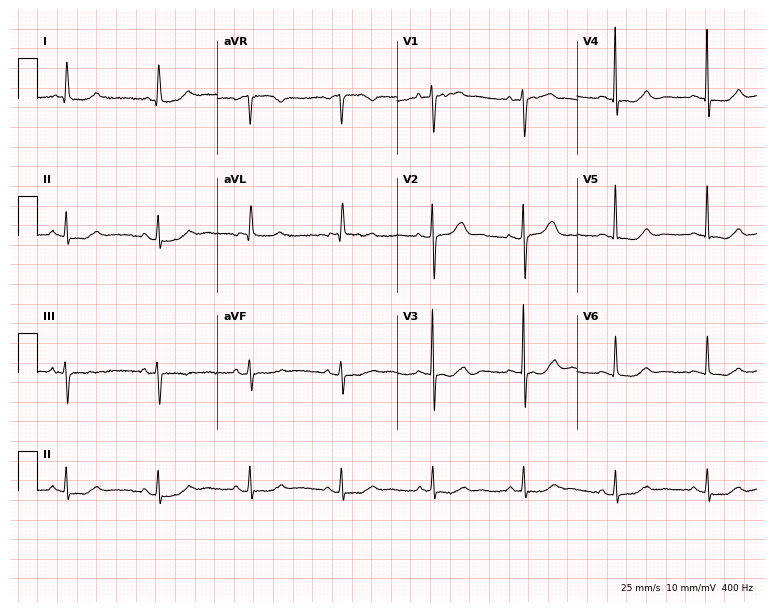
12-lead ECG from an 83-year-old female (7.3-second recording at 400 Hz). No first-degree AV block, right bundle branch block, left bundle branch block, sinus bradycardia, atrial fibrillation or sinus tachycardia recorded for this tracing.